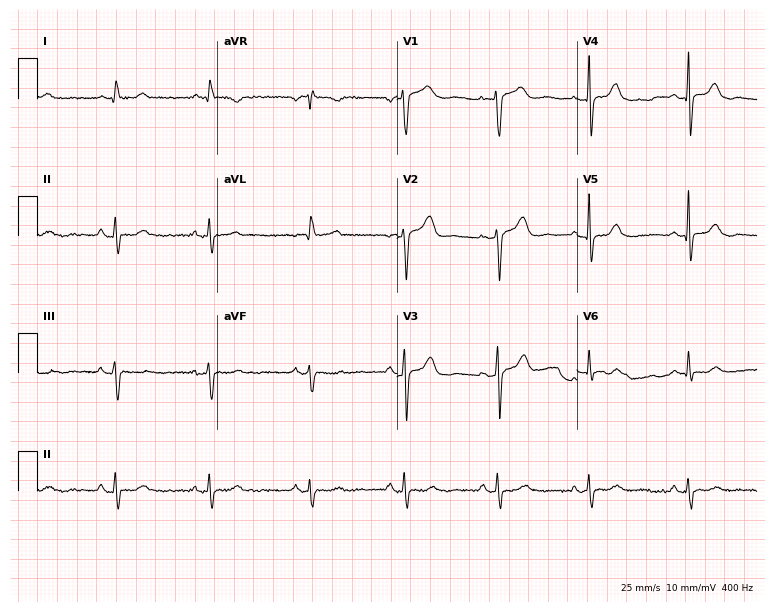
ECG — a 47-year-old female. Screened for six findings — first-degree AV block, right bundle branch block, left bundle branch block, sinus bradycardia, atrial fibrillation, sinus tachycardia — none is recorded. Other findings, if any, are not listed.